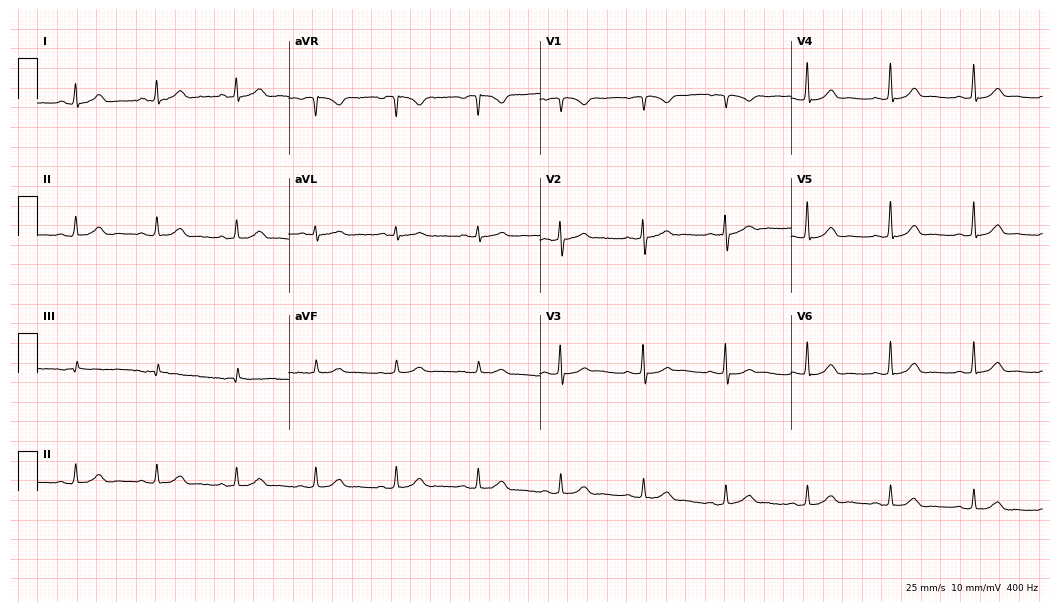
12-lead ECG (10.2-second recording at 400 Hz) from a woman, 65 years old. Labelled as a normal ECG.